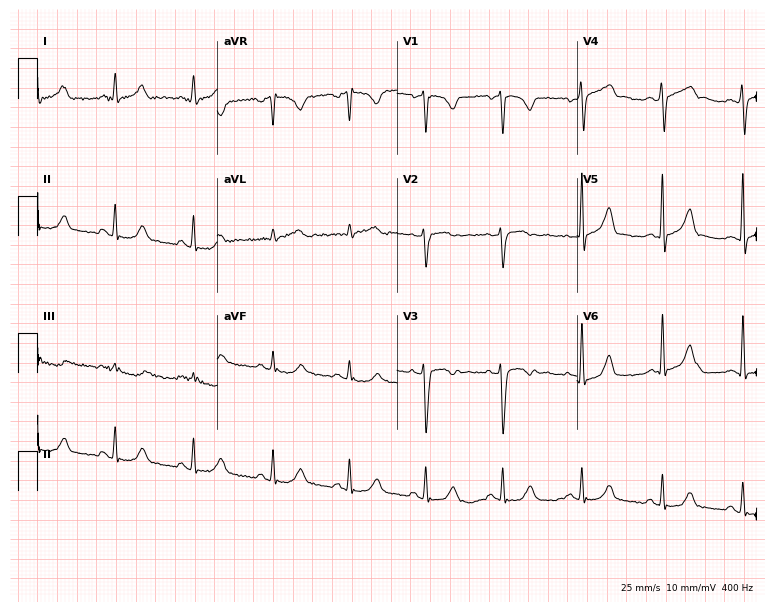
Standard 12-lead ECG recorded from a 33-year-old woman (7.3-second recording at 400 Hz). None of these six findings is recorded: first-degree AV block, right bundle branch block, left bundle branch block, sinus bradycardia, atrial fibrillation, sinus tachycardia. Findings outside these six are not listed.